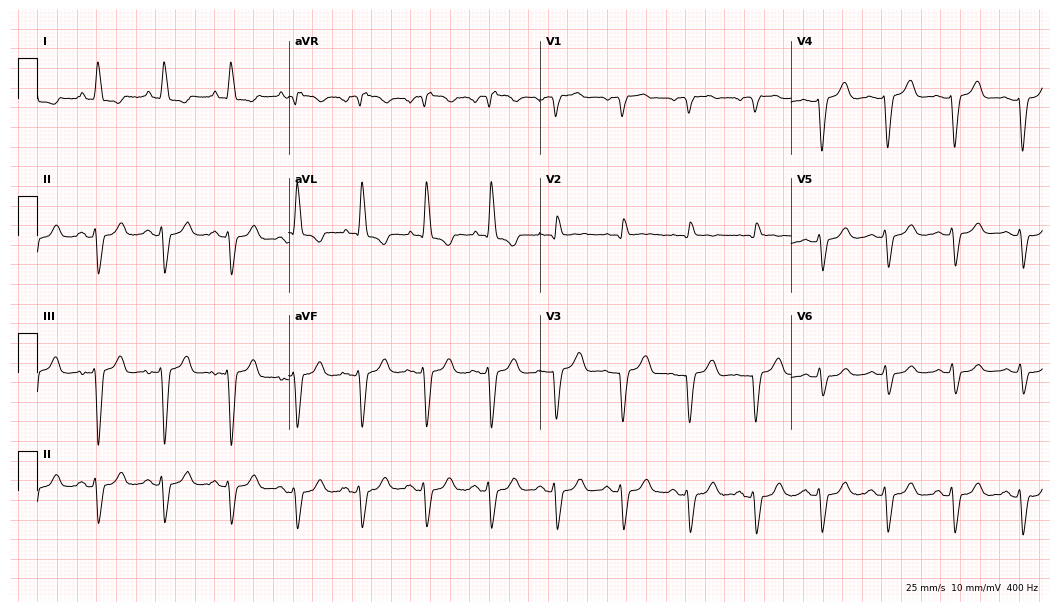
Resting 12-lead electrocardiogram. Patient: a female, 77 years old. None of these six findings is recorded: first-degree AV block, right bundle branch block, left bundle branch block, sinus bradycardia, atrial fibrillation, sinus tachycardia. Only these six findings were labelled.